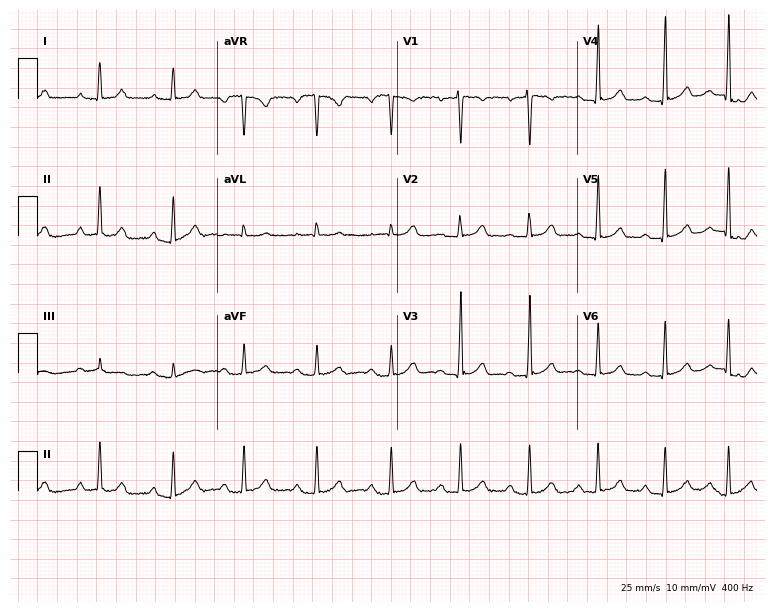
Standard 12-lead ECG recorded from a 43-year-old female (7.3-second recording at 400 Hz). Read as a normal ECG.